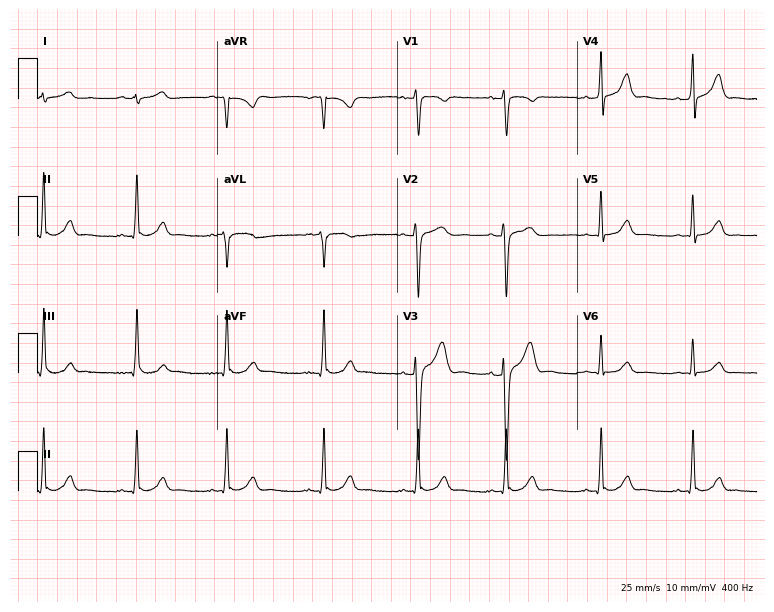
12-lead ECG (7.3-second recording at 400 Hz) from a man, 30 years old. Screened for six findings — first-degree AV block, right bundle branch block, left bundle branch block, sinus bradycardia, atrial fibrillation, sinus tachycardia — none is recorded.